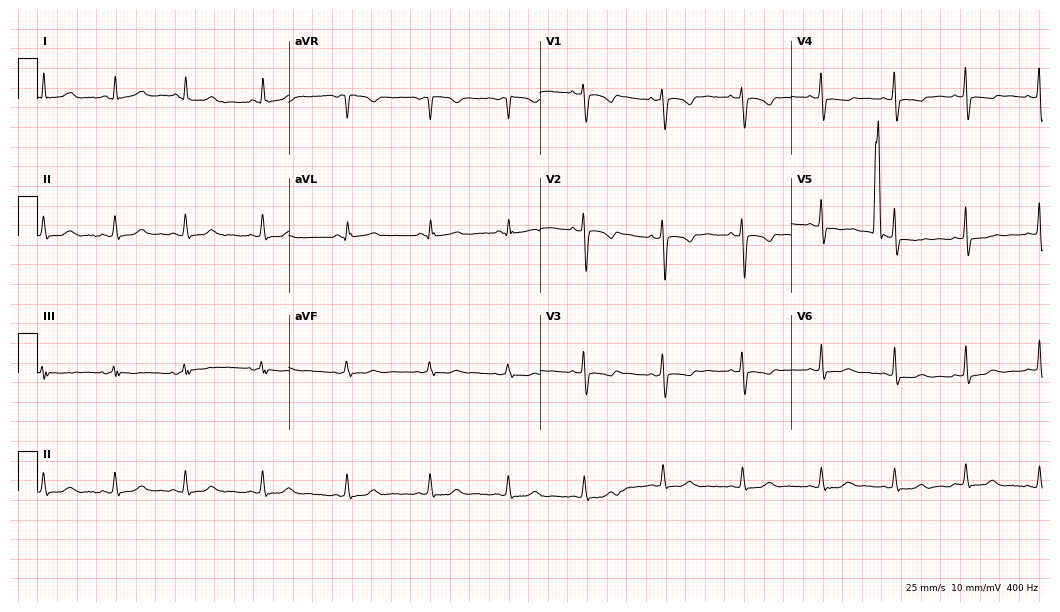
Resting 12-lead electrocardiogram (10.2-second recording at 400 Hz). Patient: a woman, 25 years old. None of these six findings is recorded: first-degree AV block, right bundle branch block, left bundle branch block, sinus bradycardia, atrial fibrillation, sinus tachycardia. Only these six findings were labelled.